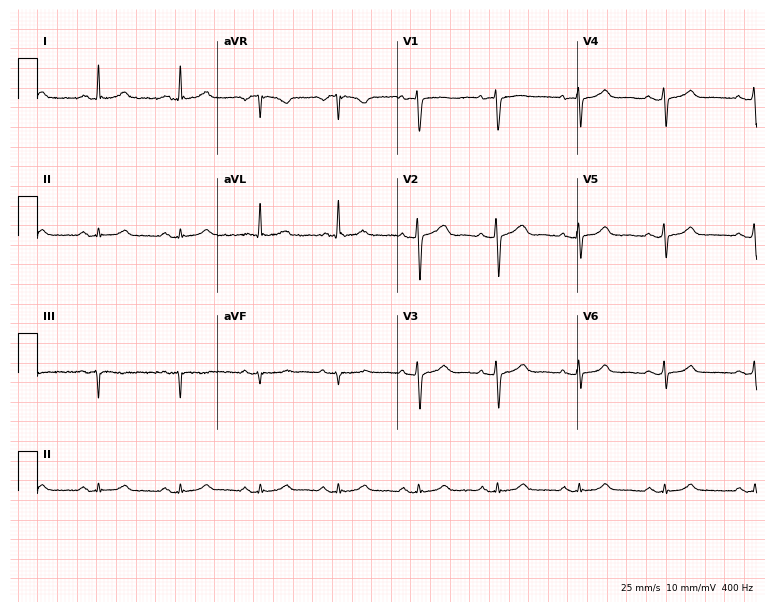
ECG — a female patient, 55 years old. Screened for six findings — first-degree AV block, right bundle branch block, left bundle branch block, sinus bradycardia, atrial fibrillation, sinus tachycardia — none is recorded. Findings outside these six are not listed.